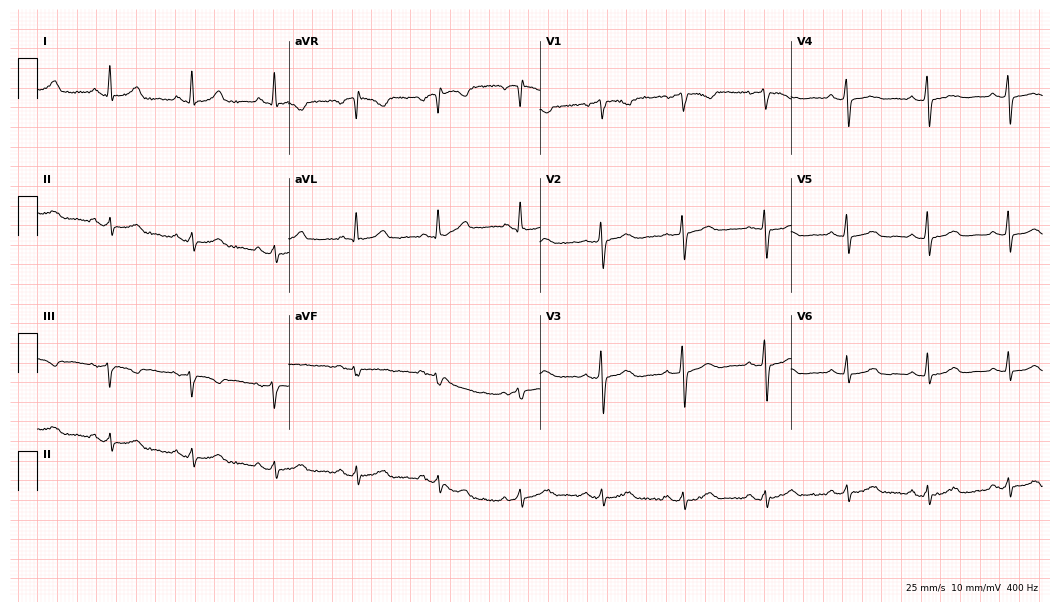
12-lead ECG from a 52-year-old woman. Recorded interpretation: within normal limits.